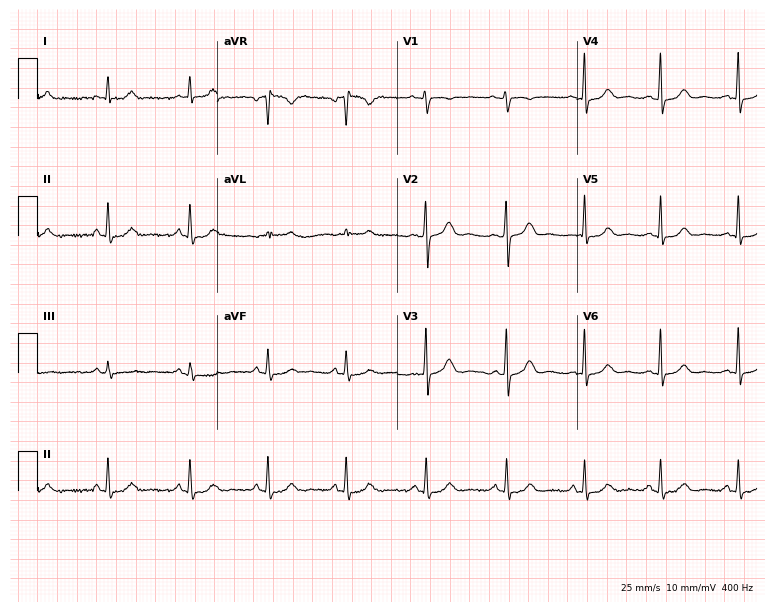
Standard 12-lead ECG recorded from a female, 44 years old. Read as a normal ECG.